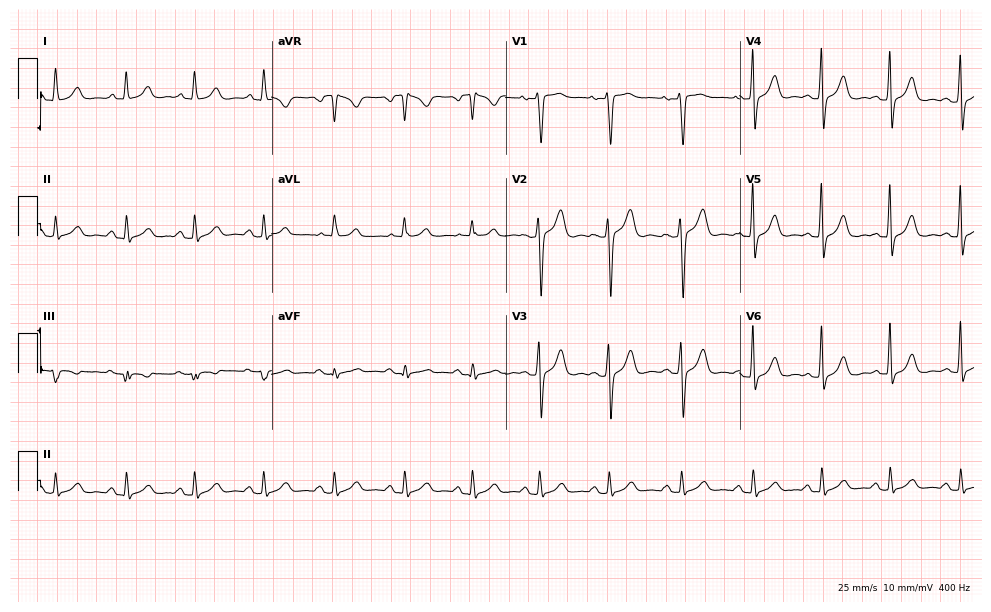
ECG — a 44-year-old female patient. Screened for six findings — first-degree AV block, right bundle branch block, left bundle branch block, sinus bradycardia, atrial fibrillation, sinus tachycardia — none is recorded. Other findings, if any, are not listed.